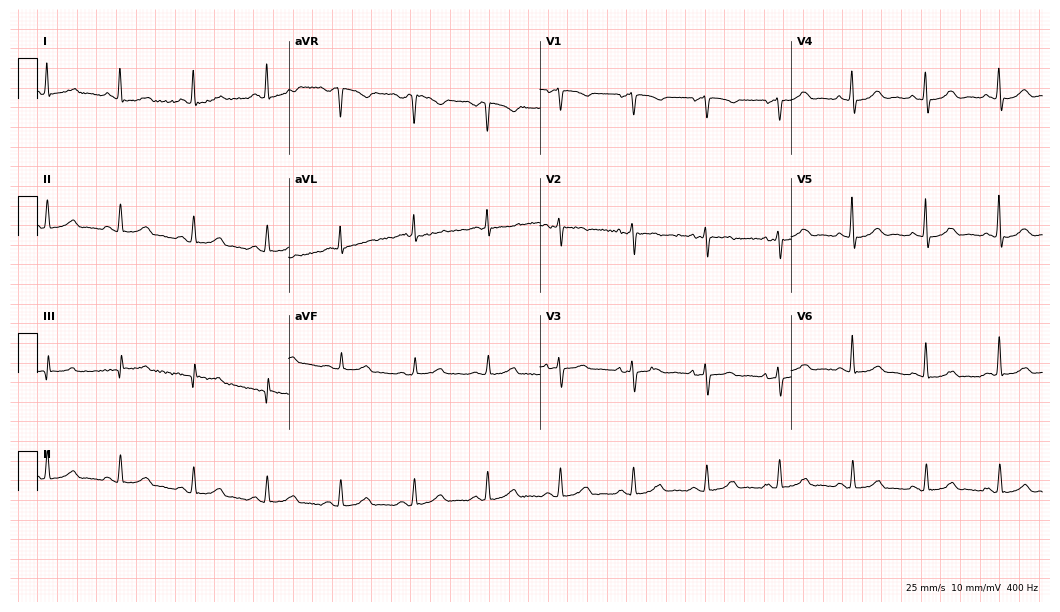
Resting 12-lead electrocardiogram (10.2-second recording at 400 Hz). Patient: a female, 74 years old. Read as a normal ECG.